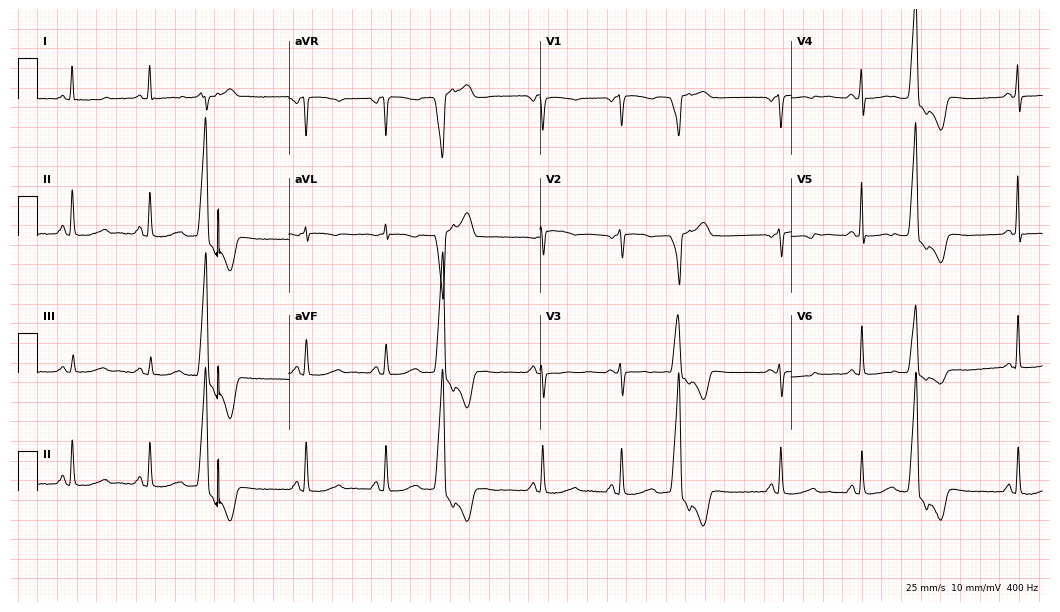
12-lead ECG from a 69-year-old female patient. No first-degree AV block, right bundle branch block, left bundle branch block, sinus bradycardia, atrial fibrillation or sinus tachycardia recorded for this tracing. Other findings, if any, are not listed.